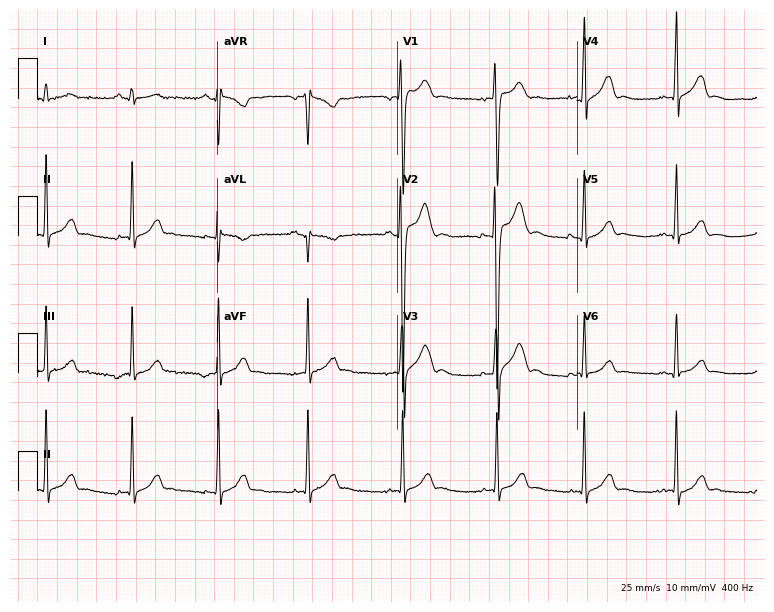
Electrocardiogram (7.3-second recording at 400 Hz), a 17-year-old man. Overall reading on record: normal ECG.